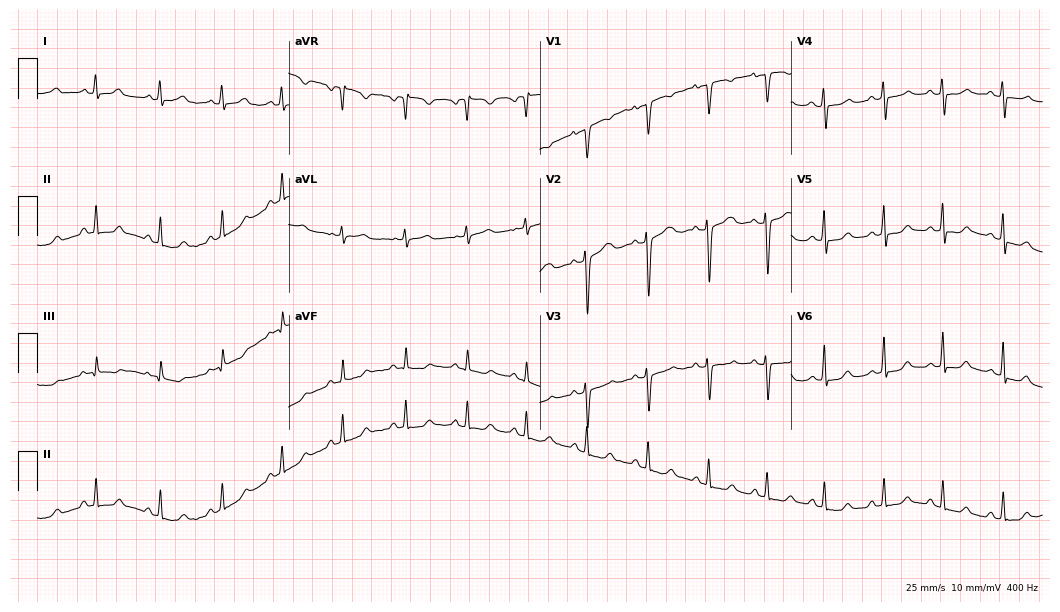
12-lead ECG (10.2-second recording at 400 Hz) from a 27-year-old female patient. Screened for six findings — first-degree AV block, right bundle branch block, left bundle branch block, sinus bradycardia, atrial fibrillation, sinus tachycardia — none is recorded. Only these six findings were labelled.